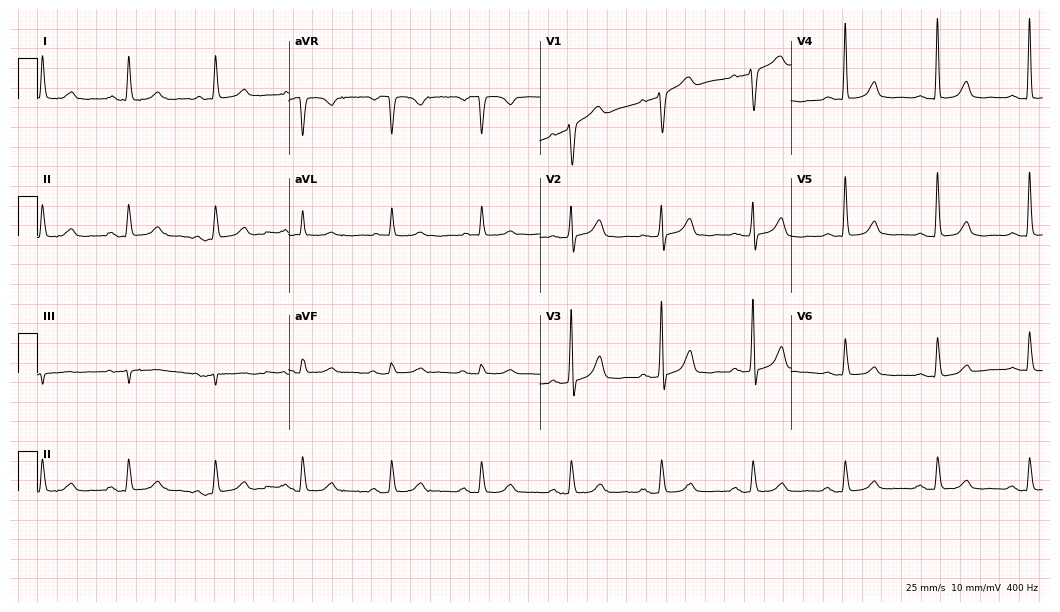
12-lead ECG from an 85-year-old woman (10.2-second recording at 400 Hz). No first-degree AV block, right bundle branch block, left bundle branch block, sinus bradycardia, atrial fibrillation or sinus tachycardia recorded for this tracing.